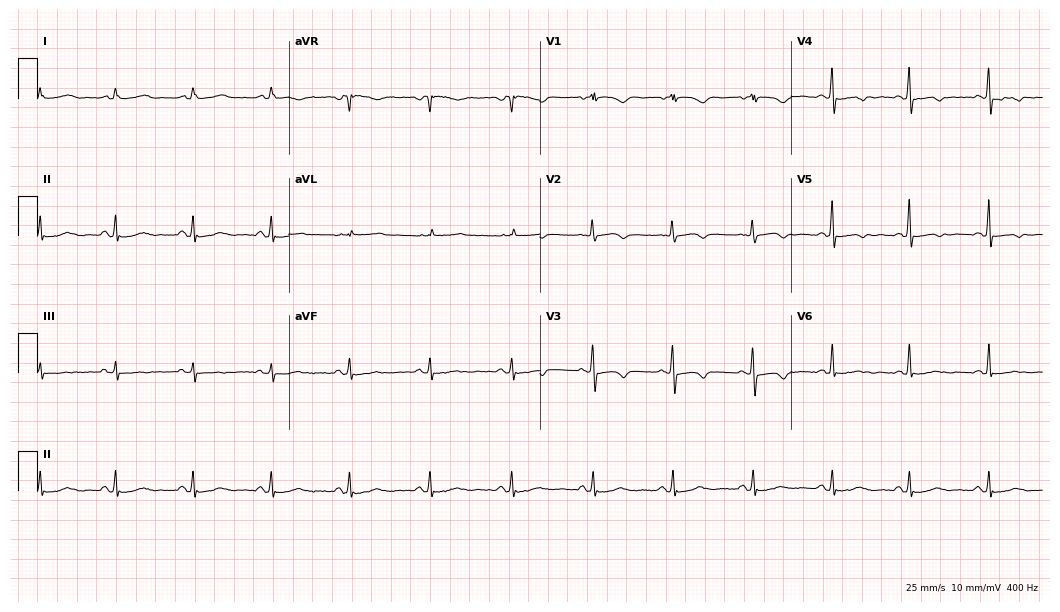
Electrocardiogram (10.2-second recording at 400 Hz), a 51-year-old female. Of the six screened findings (first-degree AV block, right bundle branch block (RBBB), left bundle branch block (LBBB), sinus bradycardia, atrial fibrillation (AF), sinus tachycardia), none is recorded.